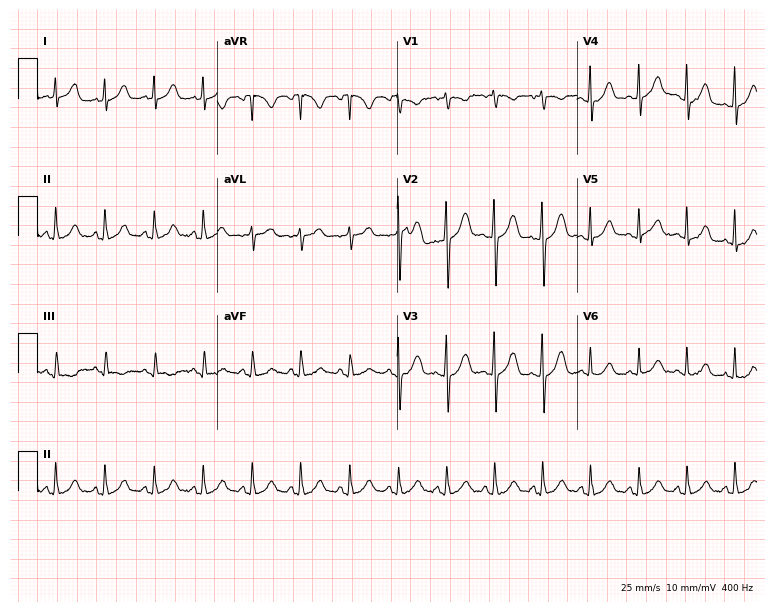
ECG (7.3-second recording at 400 Hz) — a 35-year-old female. Screened for six findings — first-degree AV block, right bundle branch block, left bundle branch block, sinus bradycardia, atrial fibrillation, sinus tachycardia — none is recorded. Other findings, if any, are not listed.